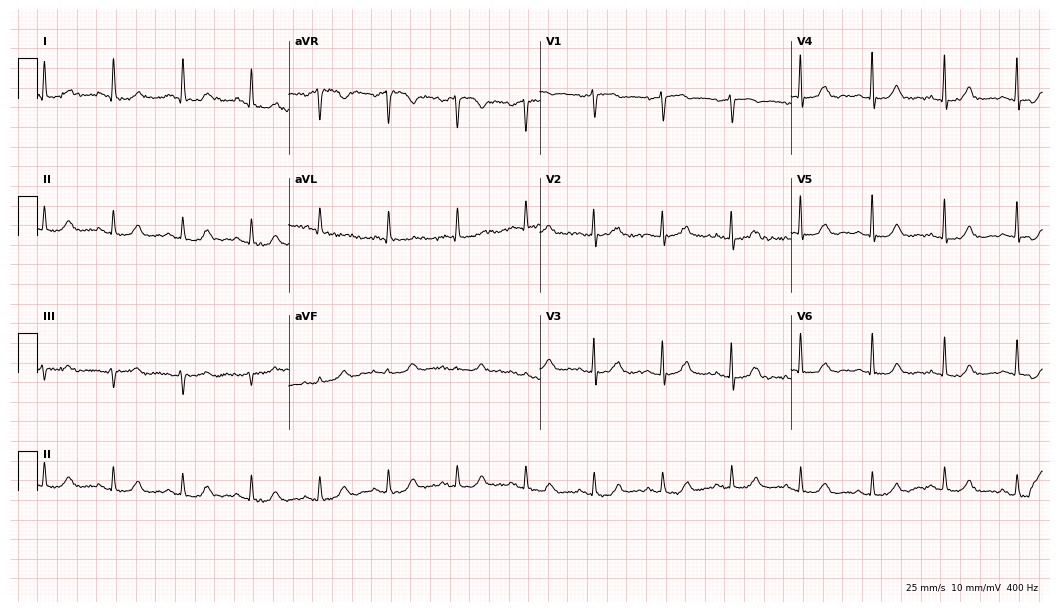
Standard 12-lead ECG recorded from an 81-year-old woman. Read as a normal ECG.